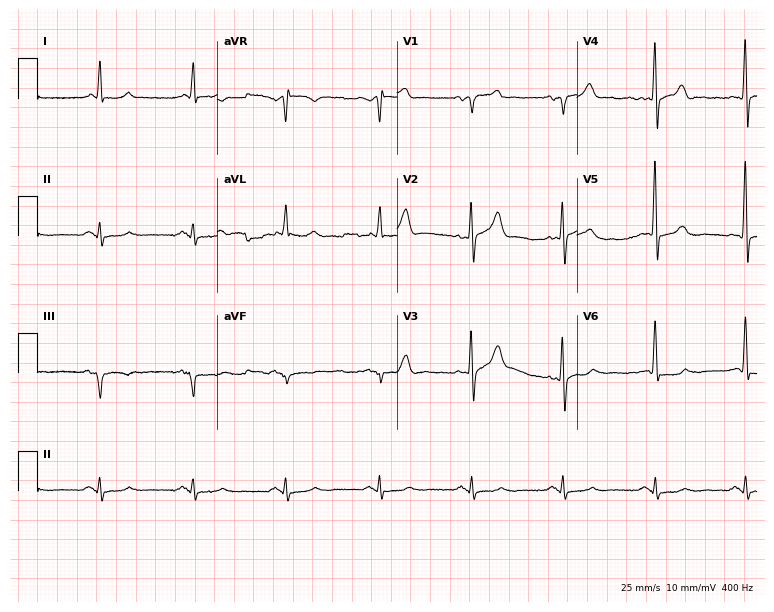
ECG (7.3-second recording at 400 Hz) — a 76-year-old male patient. Screened for six findings — first-degree AV block, right bundle branch block, left bundle branch block, sinus bradycardia, atrial fibrillation, sinus tachycardia — none is recorded. Other findings, if any, are not listed.